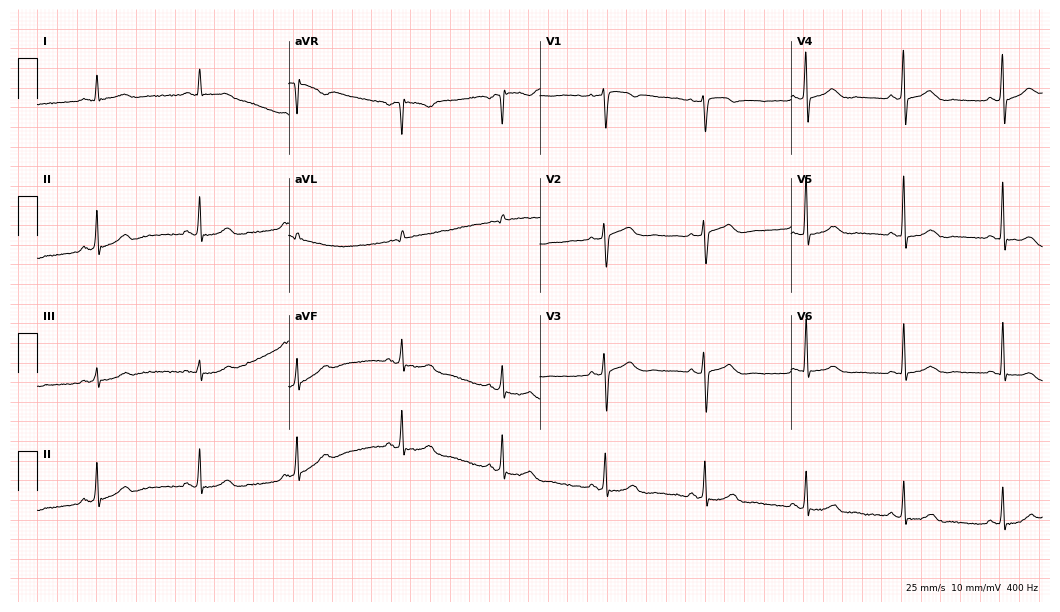
Electrocardiogram (10.2-second recording at 400 Hz), a 60-year-old female patient. Overall reading on record: normal ECG.